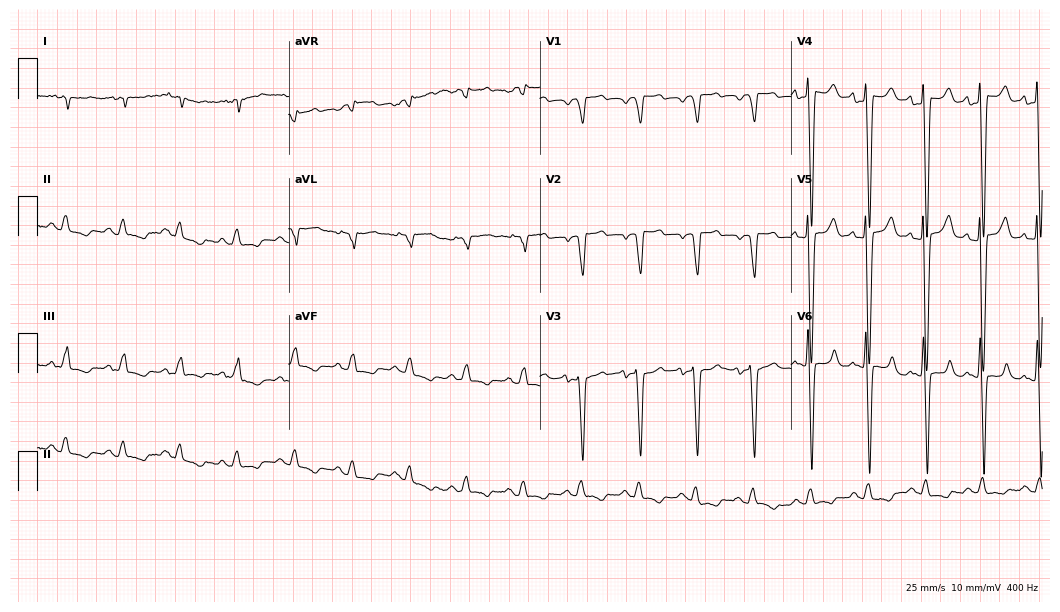
12-lead ECG from a 74-year-old male. Screened for six findings — first-degree AV block, right bundle branch block, left bundle branch block, sinus bradycardia, atrial fibrillation, sinus tachycardia — none is recorded. Other findings, if any, are not listed.